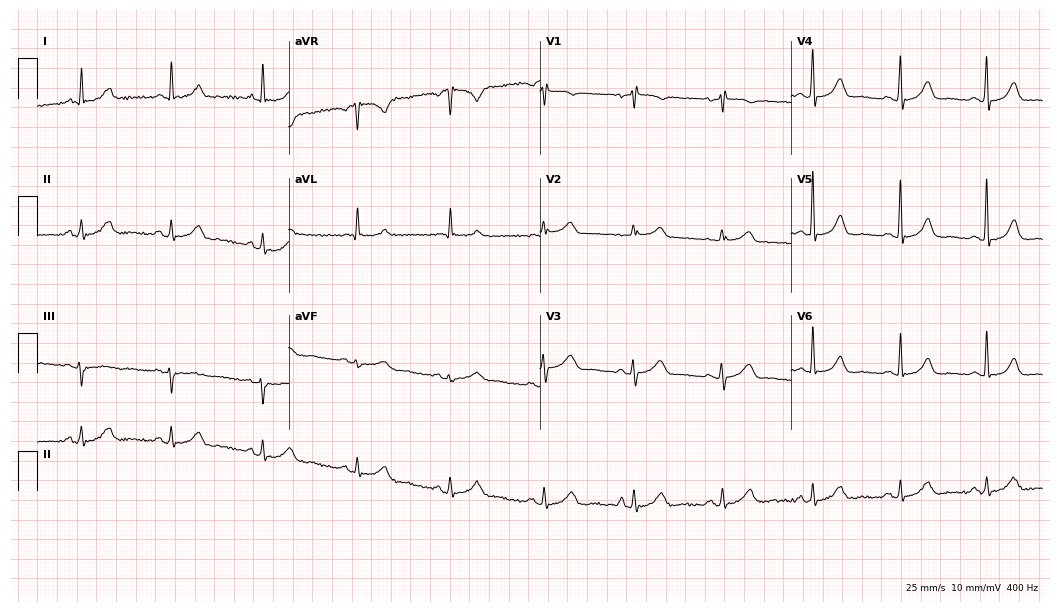
ECG (10.2-second recording at 400 Hz) — a female patient, 79 years old. Labelled as a normal ECG.